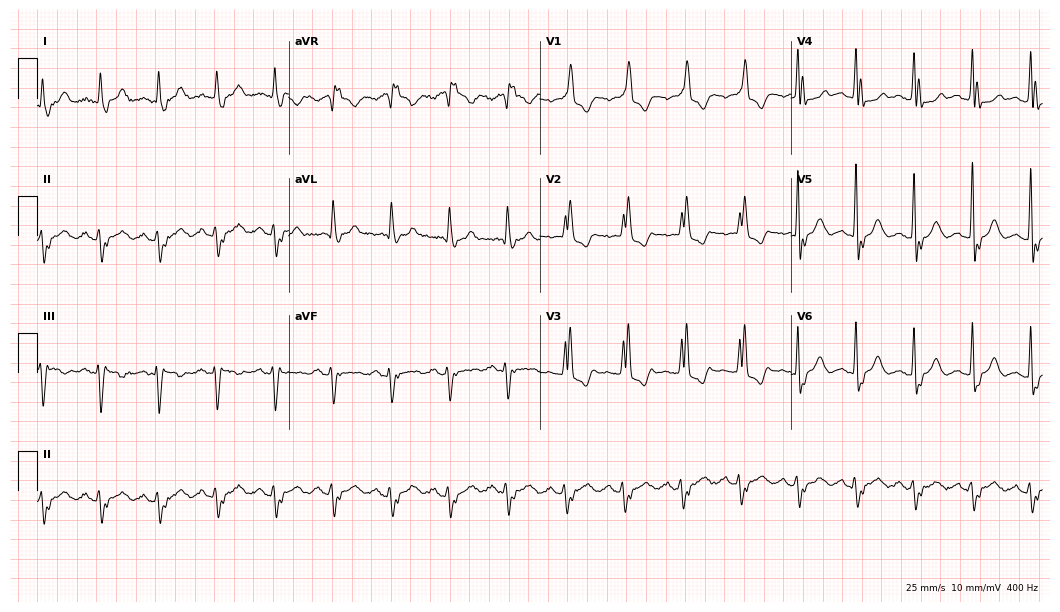
12-lead ECG from a female patient, 84 years old (10.2-second recording at 400 Hz). Shows right bundle branch block (RBBB).